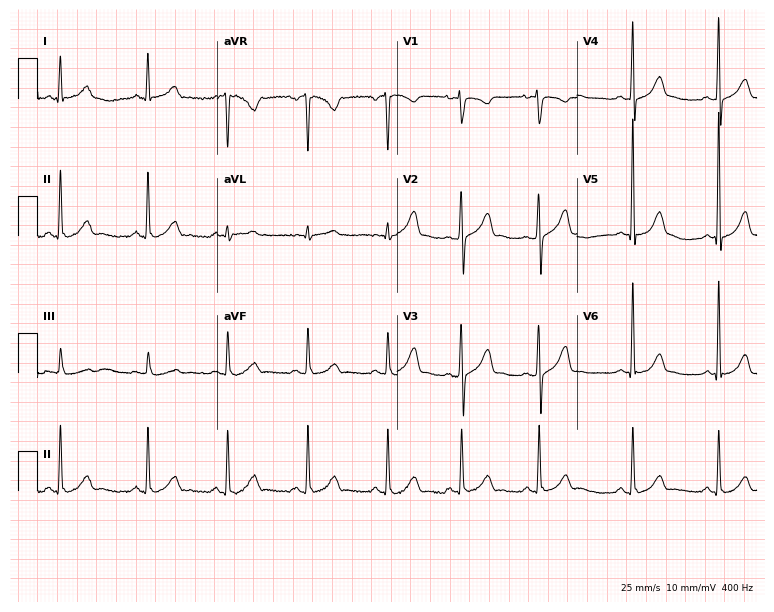
ECG — a woman, 23 years old. Screened for six findings — first-degree AV block, right bundle branch block (RBBB), left bundle branch block (LBBB), sinus bradycardia, atrial fibrillation (AF), sinus tachycardia — none is recorded. Findings outside these six are not listed.